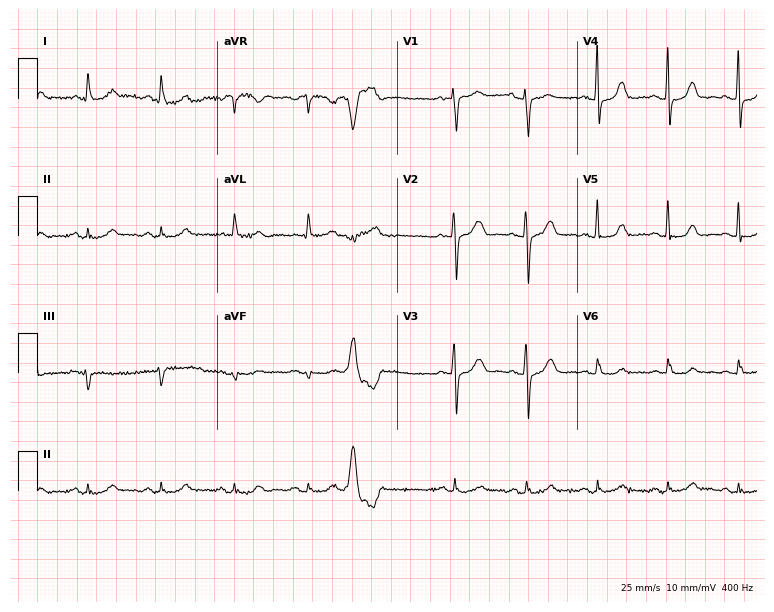
Resting 12-lead electrocardiogram. Patient: a female, 67 years old. None of these six findings is recorded: first-degree AV block, right bundle branch block (RBBB), left bundle branch block (LBBB), sinus bradycardia, atrial fibrillation (AF), sinus tachycardia.